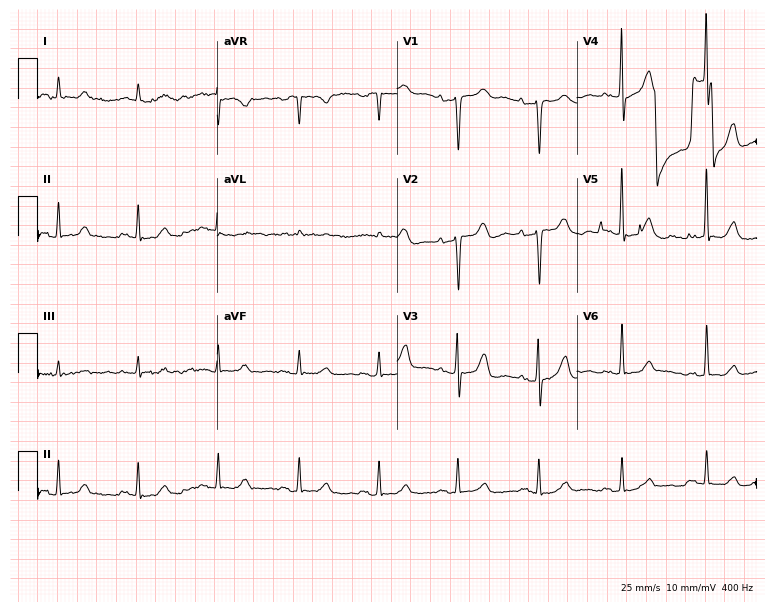
ECG — a 62-year-old female patient. Screened for six findings — first-degree AV block, right bundle branch block, left bundle branch block, sinus bradycardia, atrial fibrillation, sinus tachycardia — none is recorded. Findings outside these six are not listed.